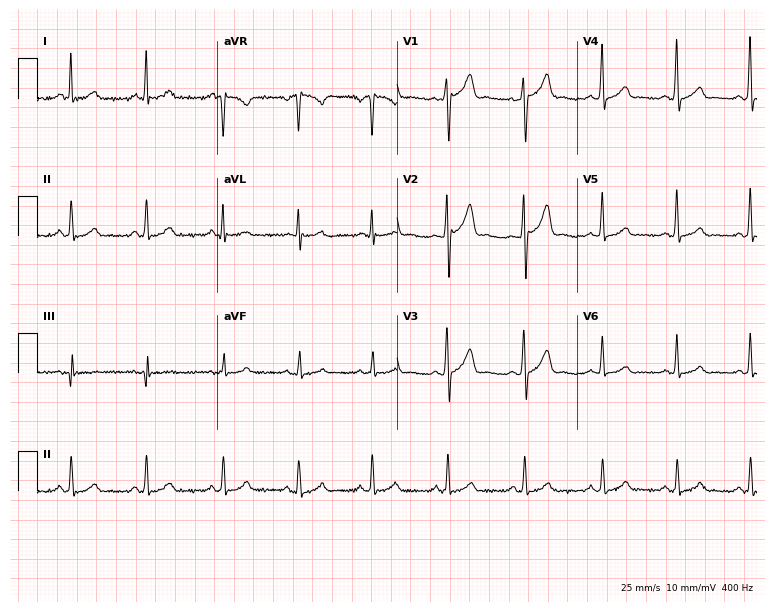
Standard 12-lead ECG recorded from a 29-year-old male patient. Read as a normal ECG.